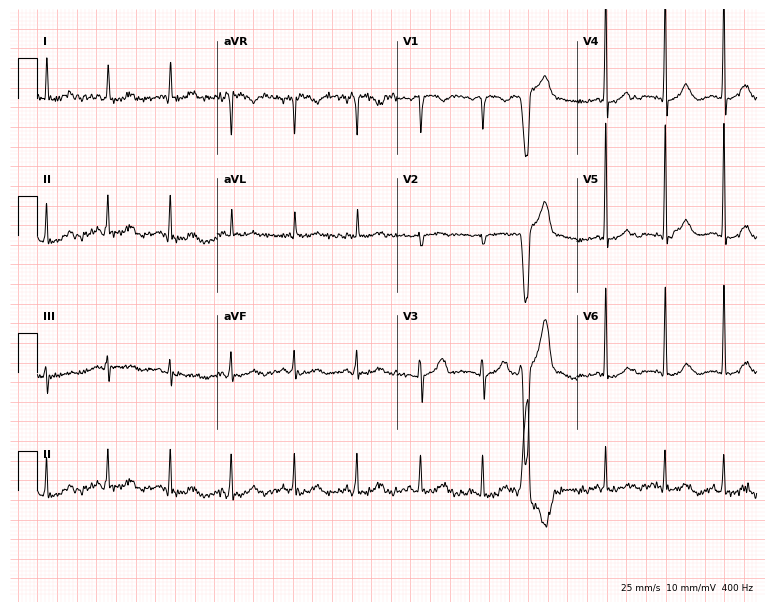
Standard 12-lead ECG recorded from a 54-year-old female patient (7.3-second recording at 400 Hz). None of these six findings is recorded: first-degree AV block, right bundle branch block (RBBB), left bundle branch block (LBBB), sinus bradycardia, atrial fibrillation (AF), sinus tachycardia.